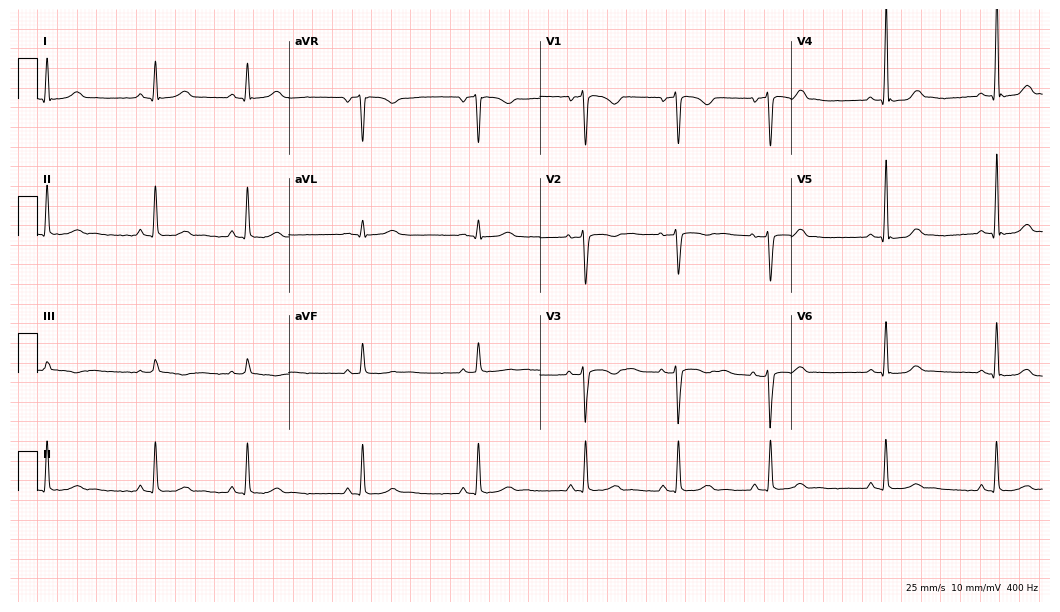
ECG — a female patient, 28 years old. Labelled as a normal ECG.